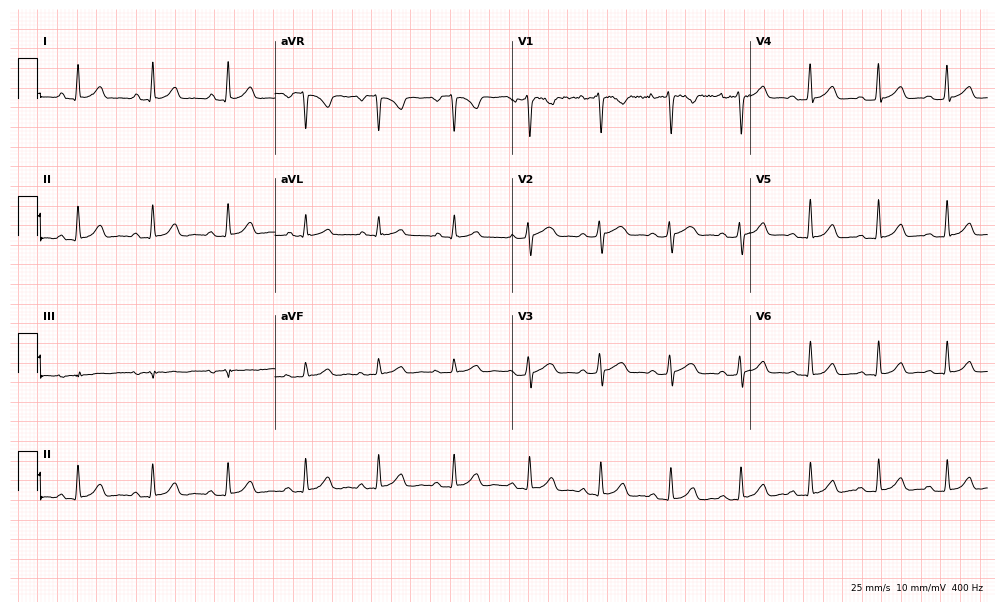
Resting 12-lead electrocardiogram (9.7-second recording at 400 Hz). Patient: a 29-year-old woman. Read as a normal ECG.